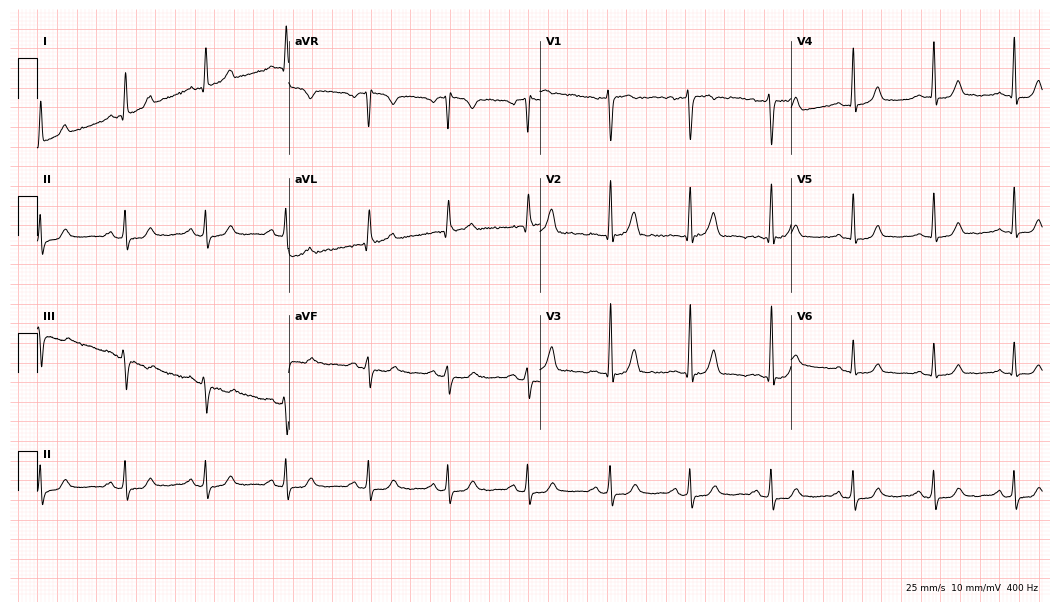
12-lead ECG (10.2-second recording at 400 Hz) from a 47-year-old female patient. Screened for six findings — first-degree AV block, right bundle branch block, left bundle branch block, sinus bradycardia, atrial fibrillation, sinus tachycardia — none is recorded.